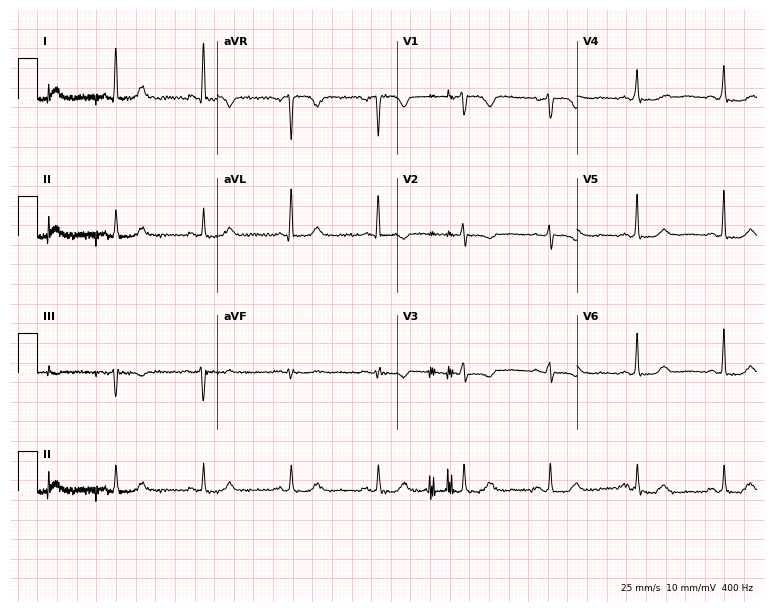
12-lead ECG from a female, 70 years old. Labelled as a normal ECG.